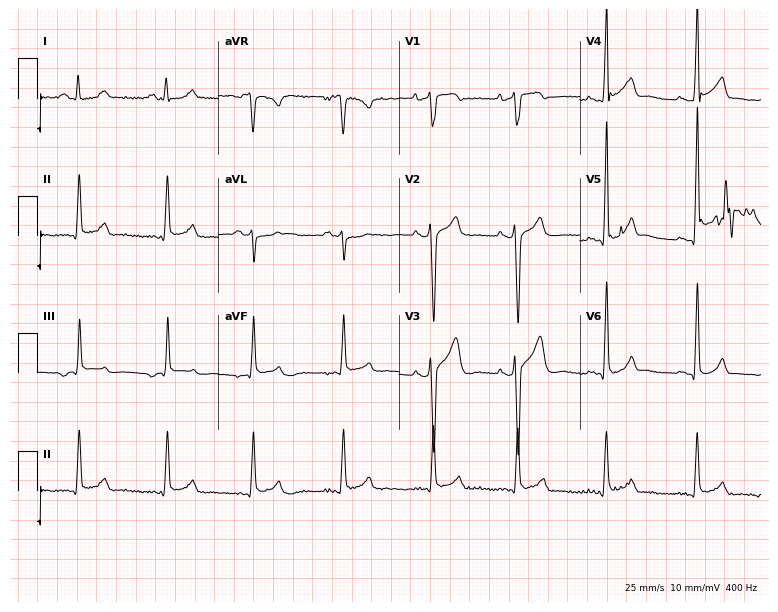
ECG — a 24-year-old man. Screened for six findings — first-degree AV block, right bundle branch block (RBBB), left bundle branch block (LBBB), sinus bradycardia, atrial fibrillation (AF), sinus tachycardia — none is recorded. Findings outside these six are not listed.